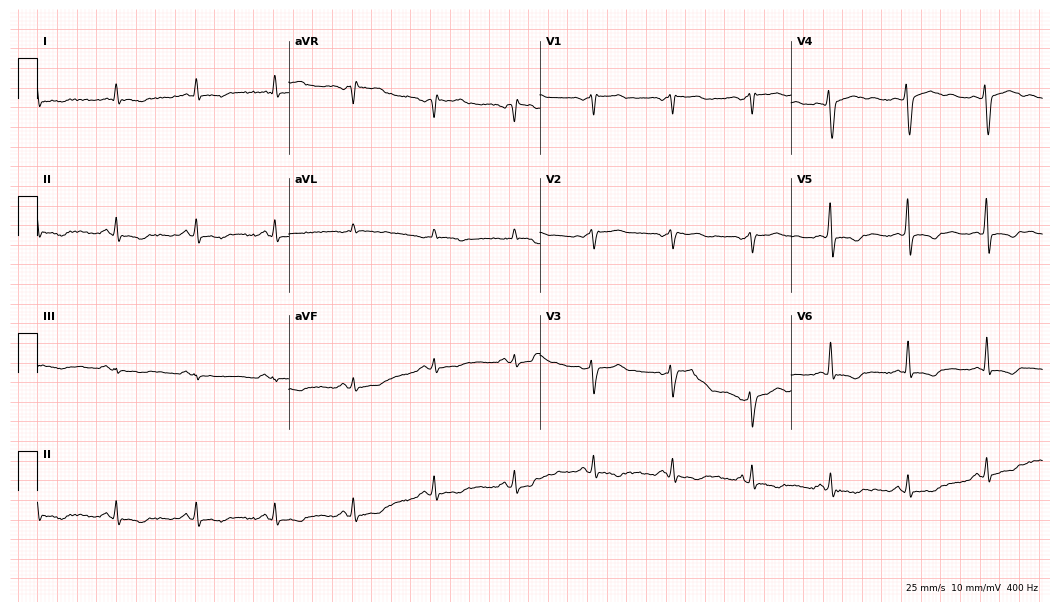
ECG — a 57-year-old man. Screened for six findings — first-degree AV block, right bundle branch block (RBBB), left bundle branch block (LBBB), sinus bradycardia, atrial fibrillation (AF), sinus tachycardia — none is recorded.